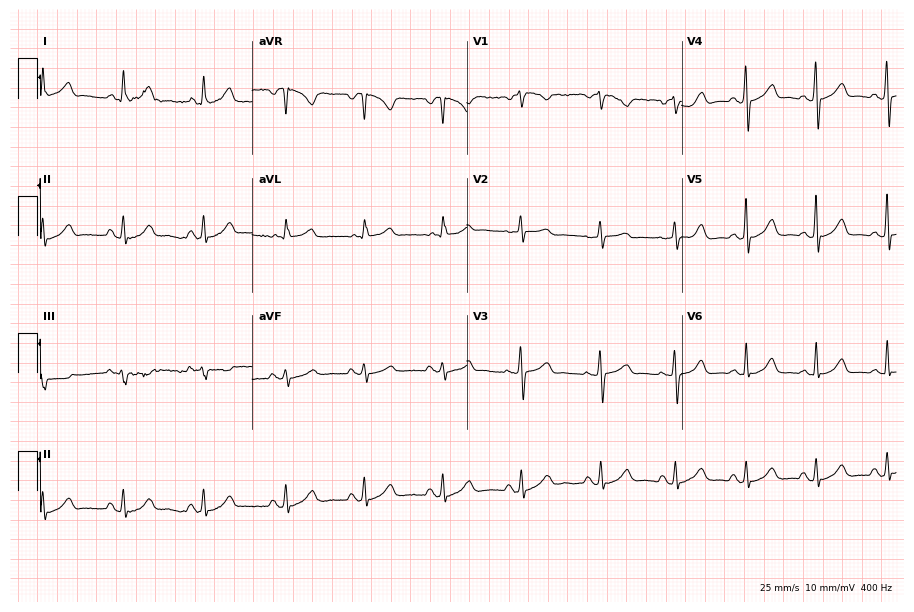
ECG (8.8-second recording at 400 Hz) — a female patient, 28 years old. Screened for six findings — first-degree AV block, right bundle branch block (RBBB), left bundle branch block (LBBB), sinus bradycardia, atrial fibrillation (AF), sinus tachycardia — none is recorded. Other findings, if any, are not listed.